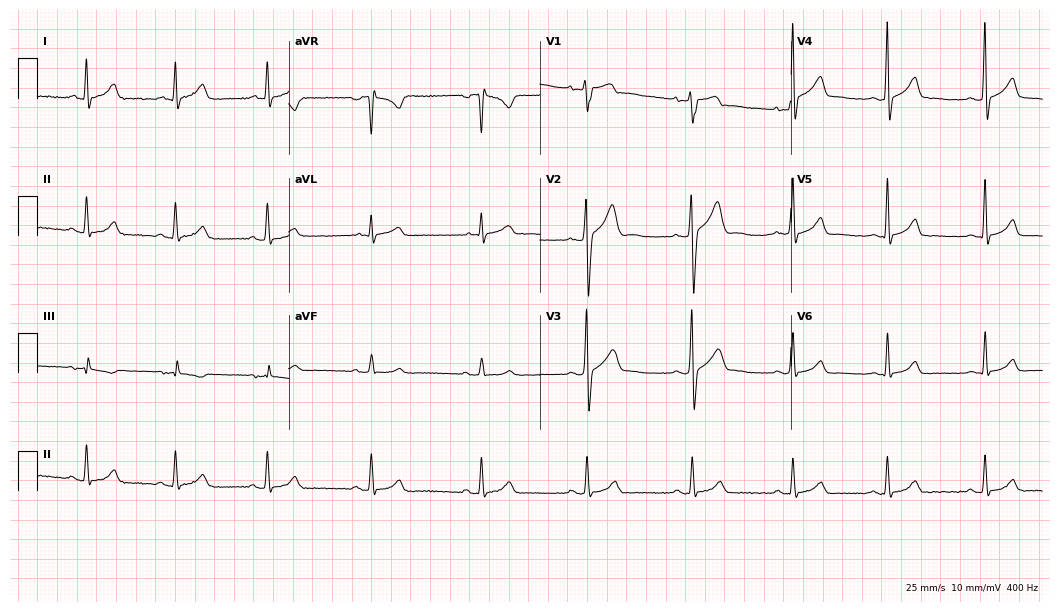
12-lead ECG (10.2-second recording at 400 Hz) from a male patient, 27 years old. Screened for six findings — first-degree AV block, right bundle branch block, left bundle branch block, sinus bradycardia, atrial fibrillation, sinus tachycardia — none is recorded. Only these six findings were labelled.